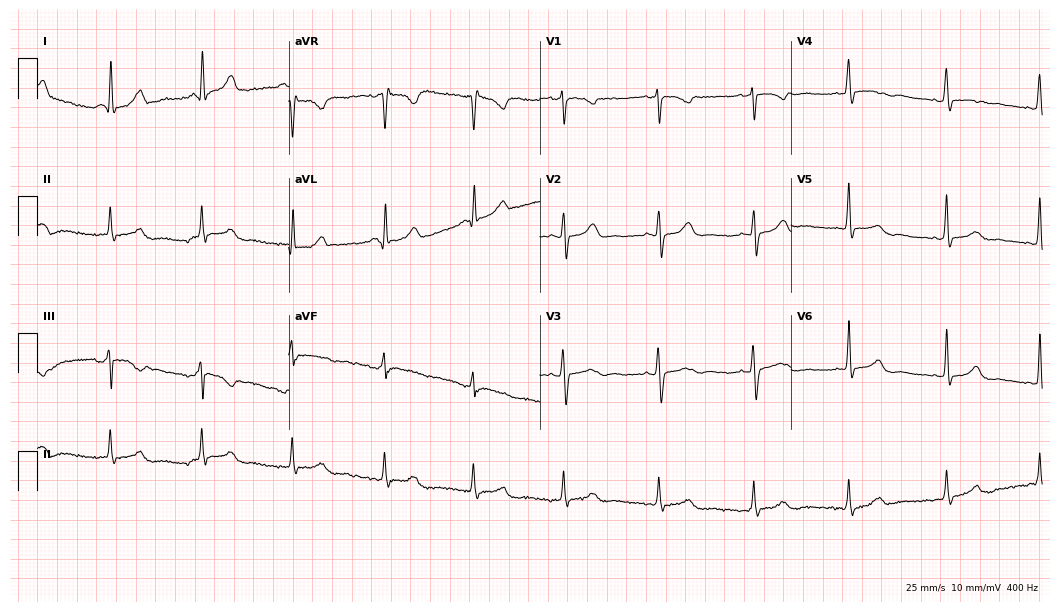
Resting 12-lead electrocardiogram. Patient: a female, 34 years old. Read as a normal ECG.